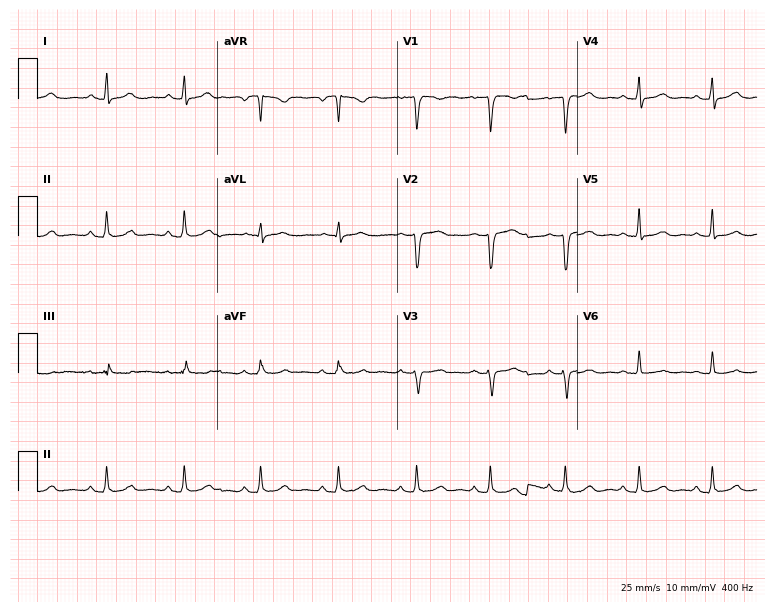
12-lead ECG (7.3-second recording at 400 Hz) from a woman, 37 years old. Screened for six findings — first-degree AV block, right bundle branch block, left bundle branch block, sinus bradycardia, atrial fibrillation, sinus tachycardia — none is recorded. Findings outside these six are not listed.